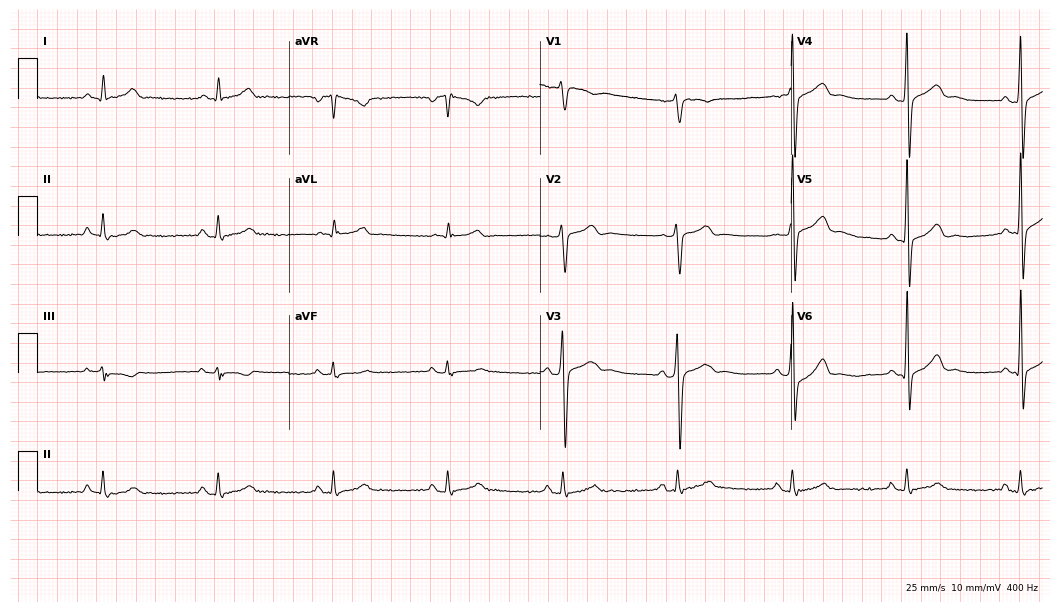
12-lead ECG from a 63-year-old male patient. Screened for six findings — first-degree AV block, right bundle branch block, left bundle branch block, sinus bradycardia, atrial fibrillation, sinus tachycardia — none is recorded.